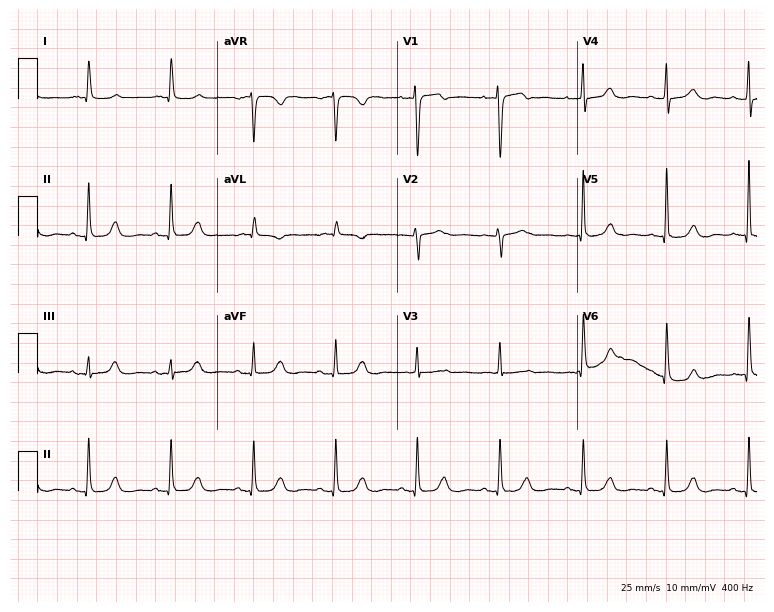
12-lead ECG from a female, 71 years old. Recorded interpretation: within normal limits.